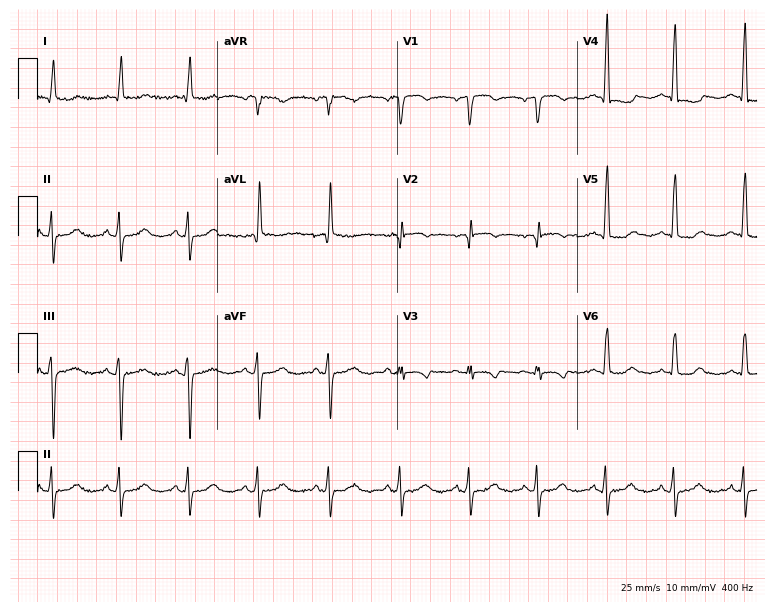
12-lead ECG from an 82-year-old female. Screened for six findings — first-degree AV block, right bundle branch block, left bundle branch block, sinus bradycardia, atrial fibrillation, sinus tachycardia — none is recorded.